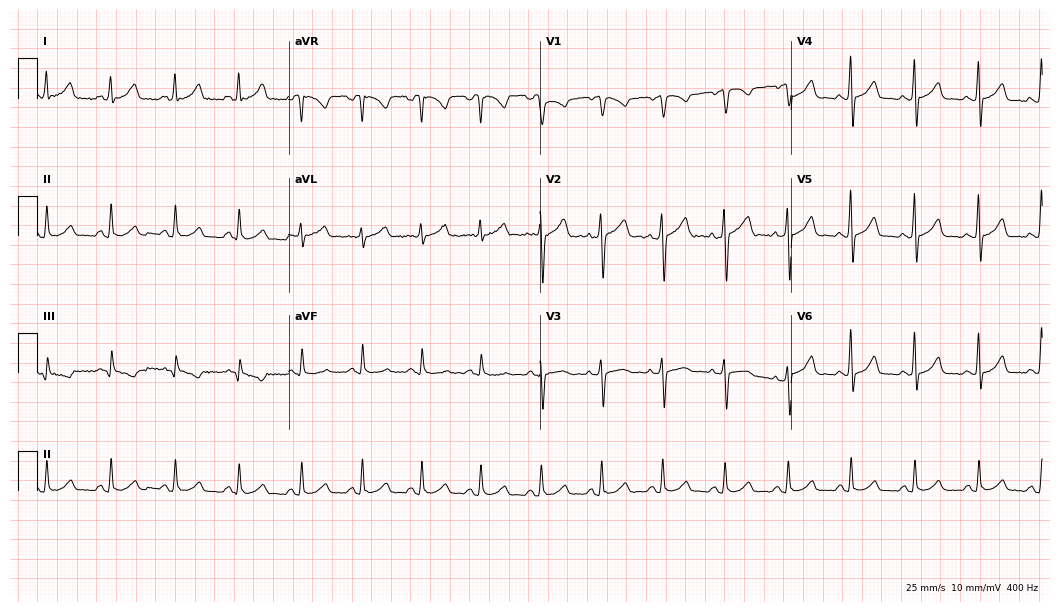
Standard 12-lead ECG recorded from a 40-year-old female (10.2-second recording at 400 Hz). Read as a normal ECG.